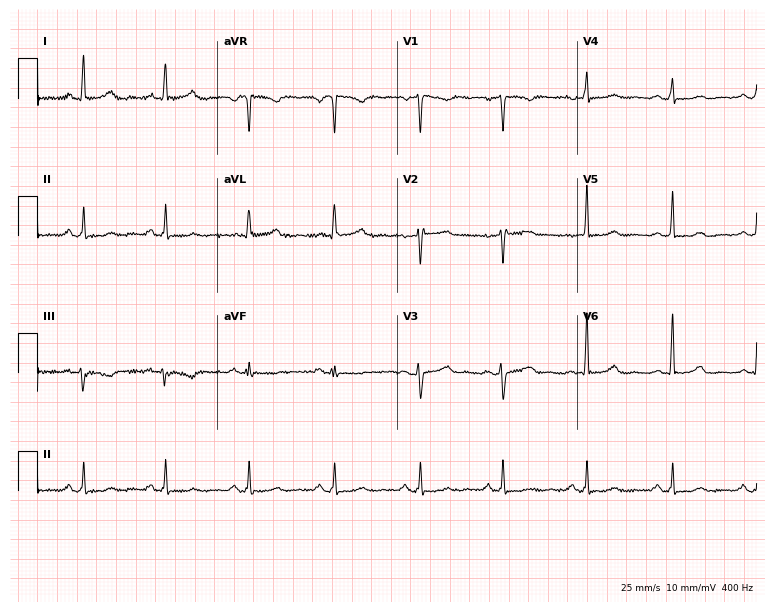
Resting 12-lead electrocardiogram (7.3-second recording at 400 Hz). Patient: a 43-year-old female. None of these six findings is recorded: first-degree AV block, right bundle branch block, left bundle branch block, sinus bradycardia, atrial fibrillation, sinus tachycardia. Other findings, if any, are not listed.